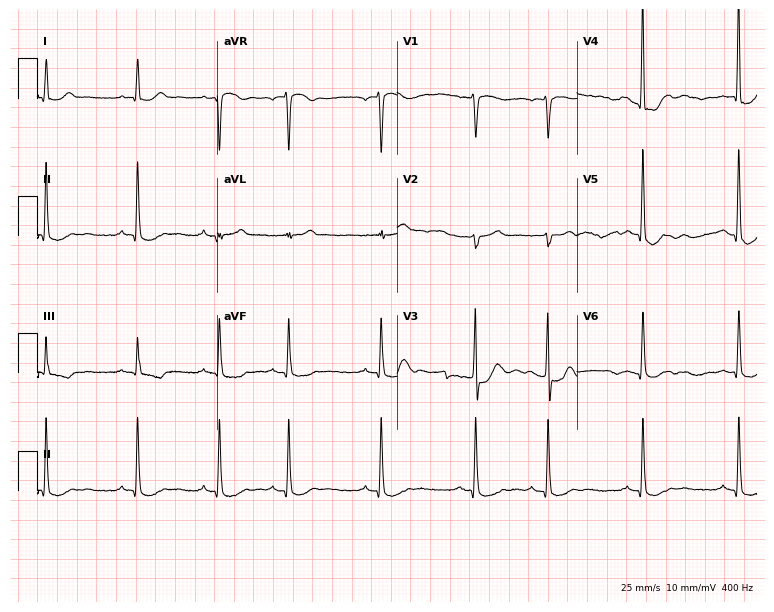
12-lead ECG (7.3-second recording at 400 Hz) from a 56-year-old male. Screened for six findings — first-degree AV block, right bundle branch block (RBBB), left bundle branch block (LBBB), sinus bradycardia, atrial fibrillation (AF), sinus tachycardia — none is recorded. Other findings, if any, are not listed.